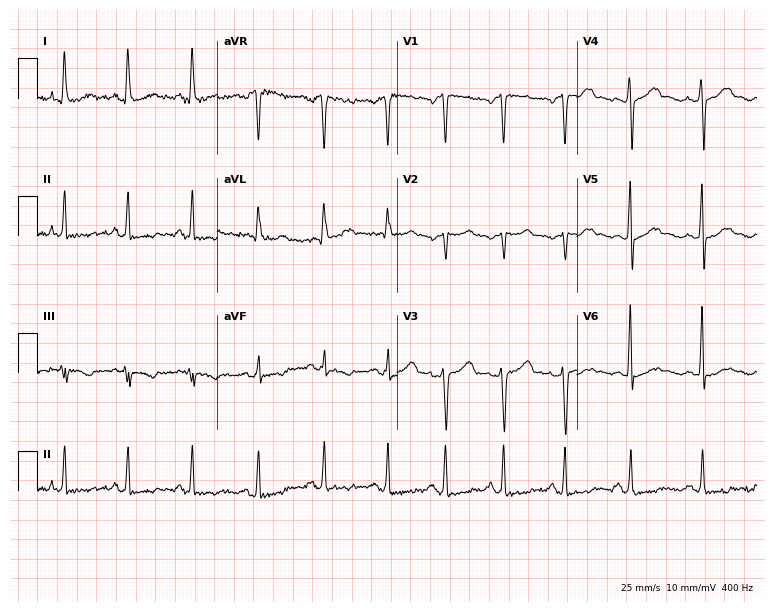
Resting 12-lead electrocardiogram (7.3-second recording at 400 Hz). Patient: a 28-year-old woman. Read as a normal ECG.